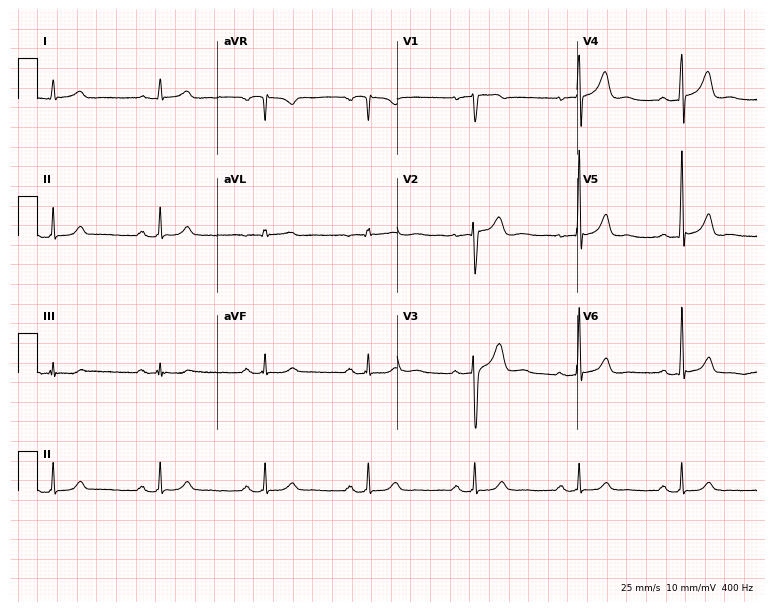
Standard 12-lead ECG recorded from a male, 47 years old. None of these six findings is recorded: first-degree AV block, right bundle branch block, left bundle branch block, sinus bradycardia, atrial fibrillation, sinus tachycardia.